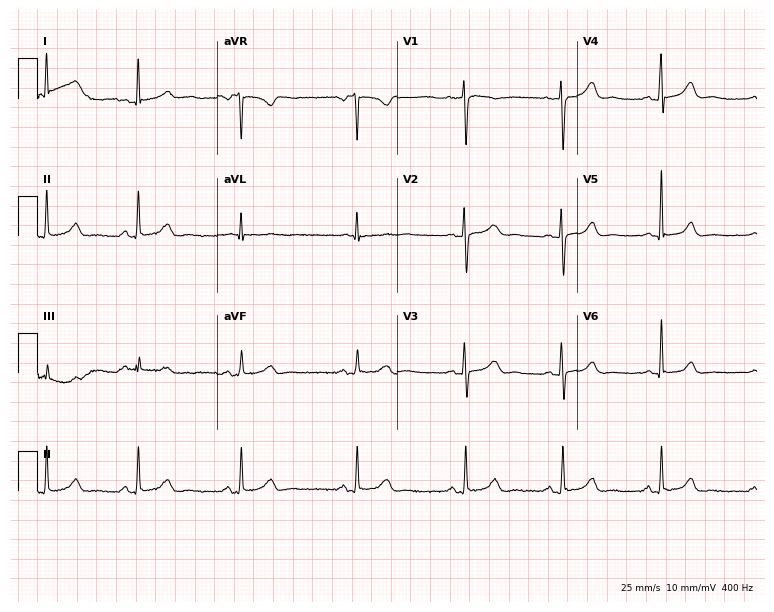
12-lead ECG from a woman, 33 years old. No first-degree AV block, right bundle branch block (RBBB), left bundle branch block (LBBB), sinus bradycardia, atrial fibrillation (AF) or sinus tachycardia recorded for this tracing. Findings outside these six are not listed.